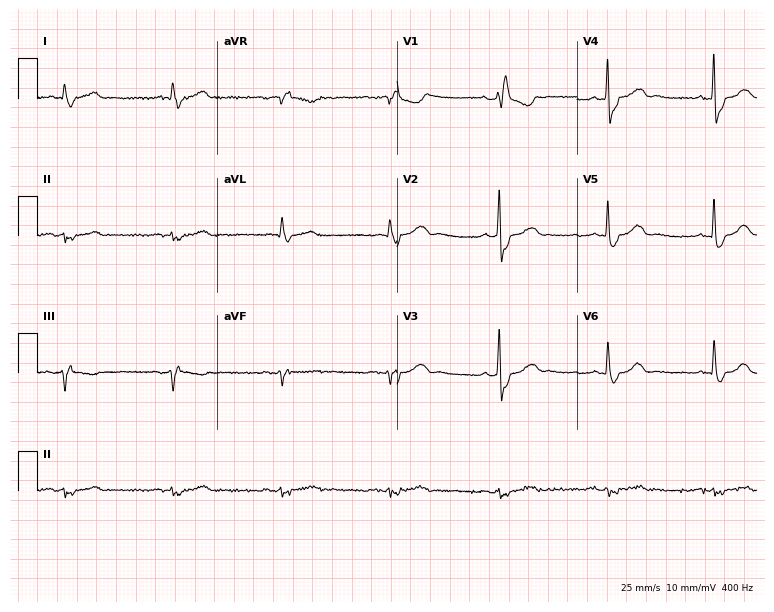
Electrocardiogram (7.3-second recording at 400 Hz), an 80-year-old male patient. Of the six screened findings (first-degree AV block, right bundle branch block, left bundle branch block, sinus bradycardia, atrial fibrillation, sinus tachycardia), none is recorded.